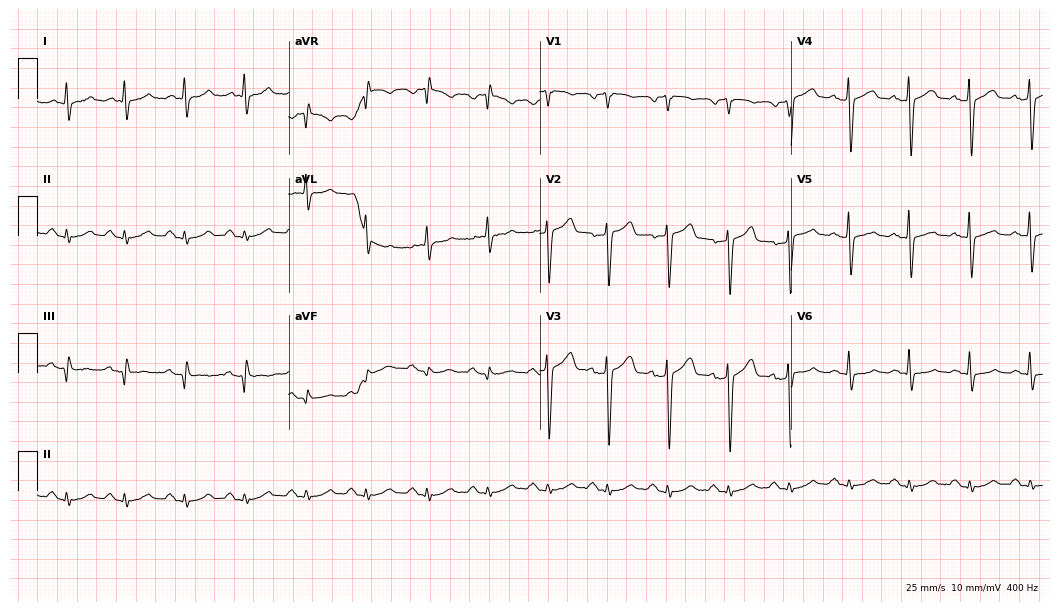
12-lead ECG from a 69-year-old male patient. Screened for six findings — first-degree AV block, right bundle branch block, left bundle branch block, sinus bradycardia, atrial fibrillation, sinus tachycardia — none is recorded. Other findings, if any, are not listed.